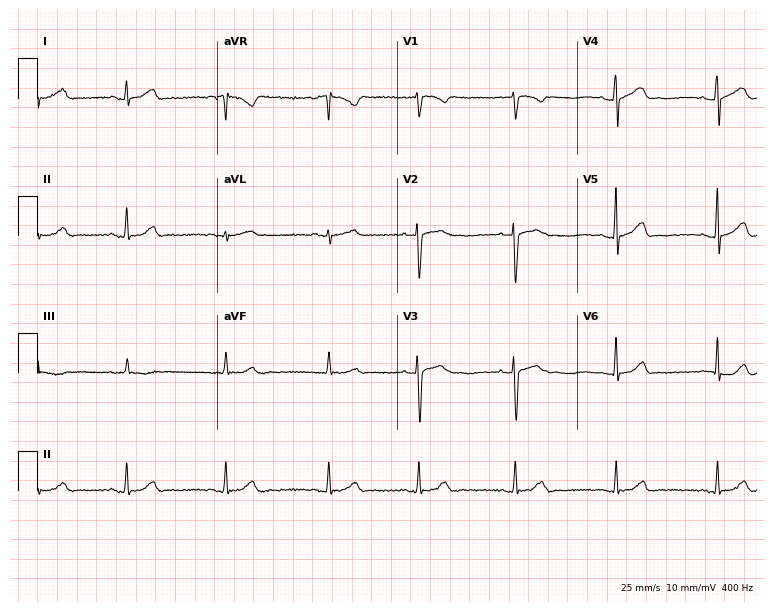
Electrocardiogram, a female, 22 years old. Overall reading on record: normal ECG.